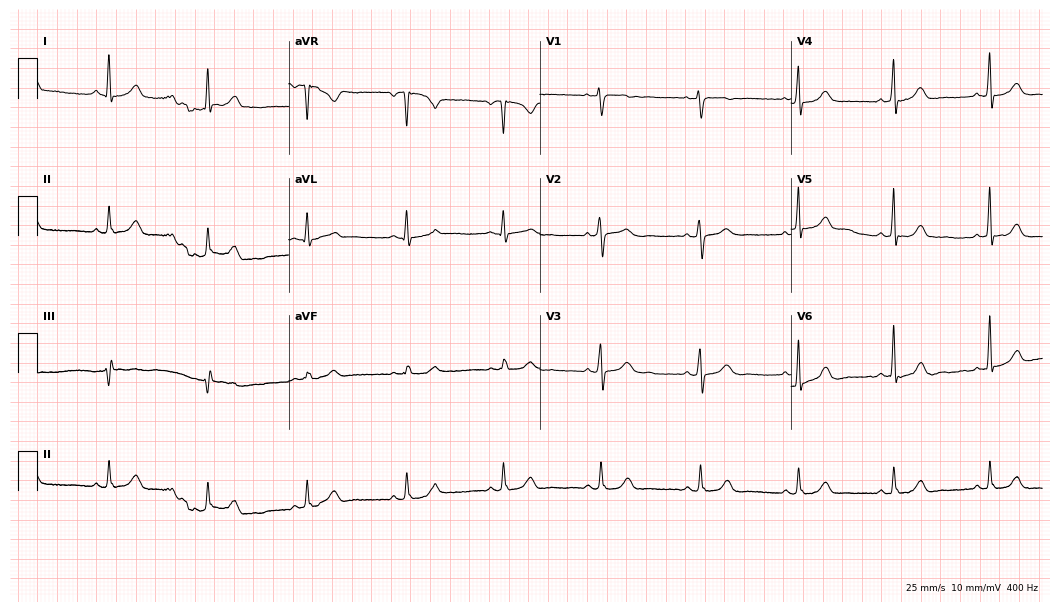
ECG (10.2-second recording at 400 Hz) — a 57-year-old female patient. Labelled as a normal ECG.